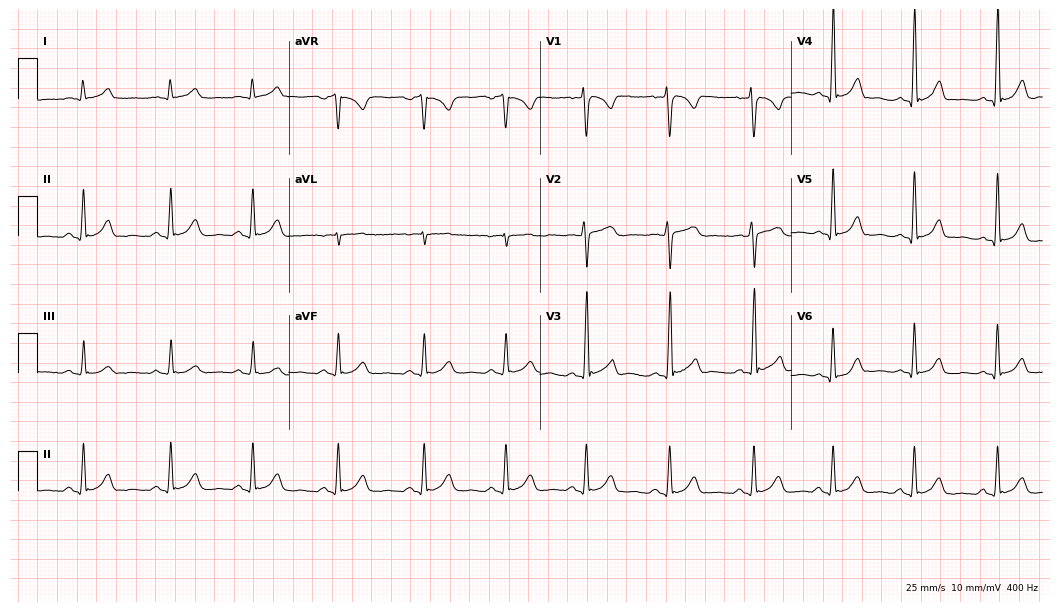
ECG — a man, 25 years old. Labelled as a normal ECG.